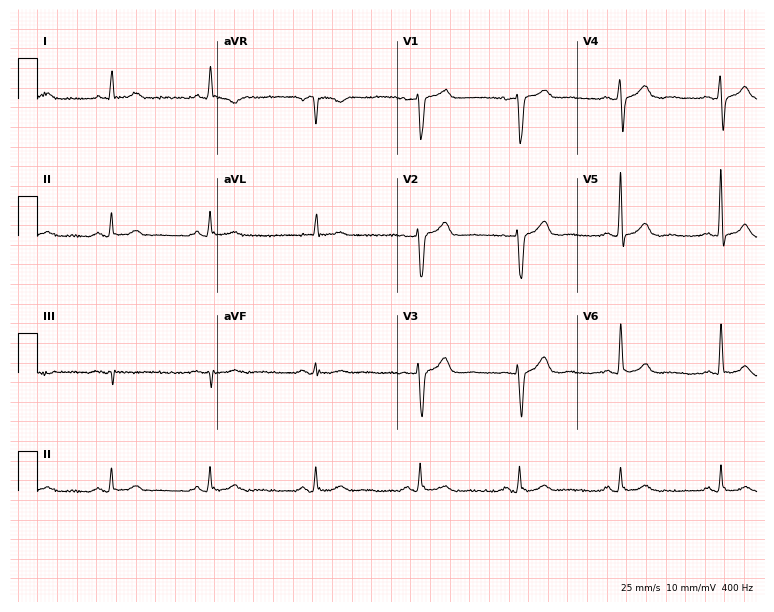
Resting 12-lead electrocardiogram. Patient: a male, 70 years old. Read as a normal ECG.